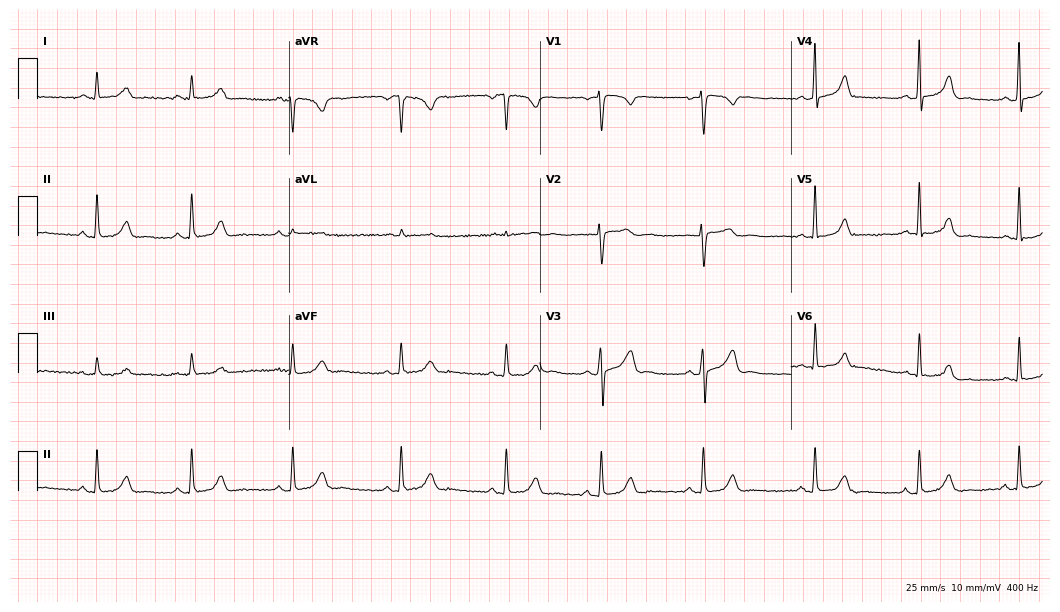
12-lead ECG from a female patient, 35 years old. Recorded interpretation: within normal limits.